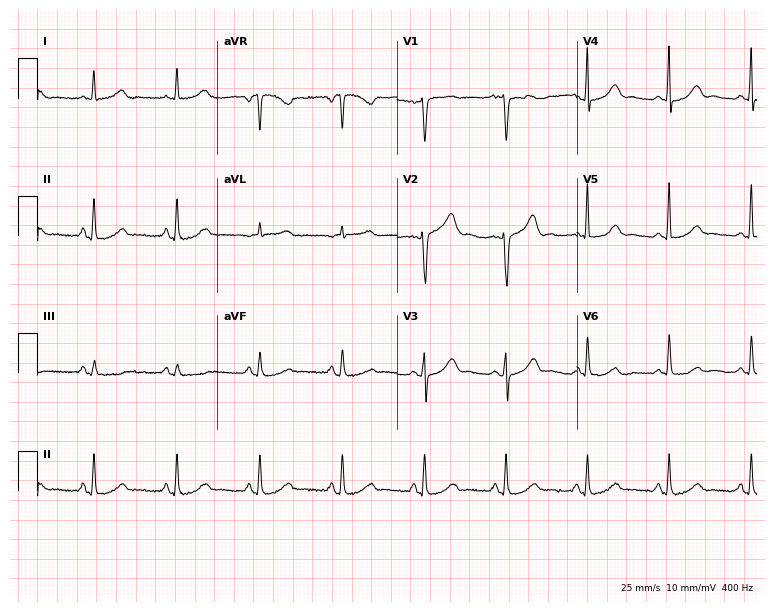
ECG — a female patient, 64 years old. Labelled as a normal ECG.